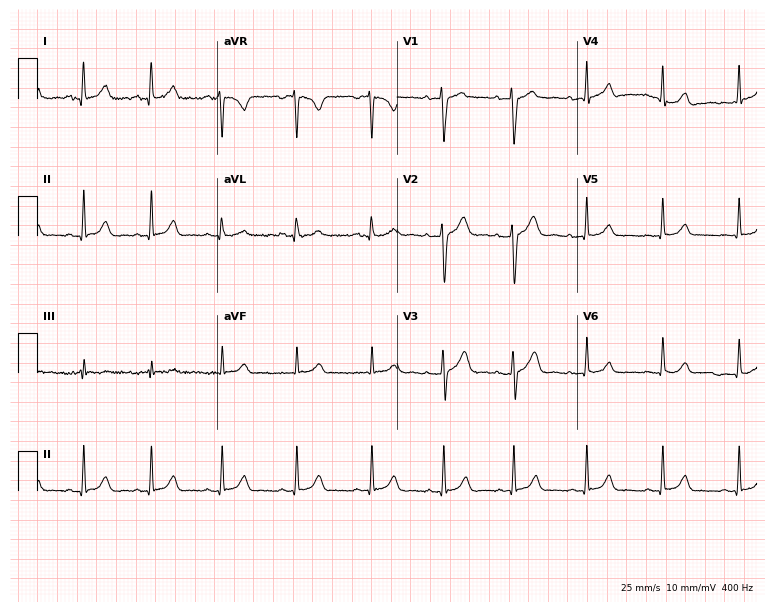
ECG (7.3-second recording at 400 Hz) — a 24-year-old female. Labelled as a normal ECG.